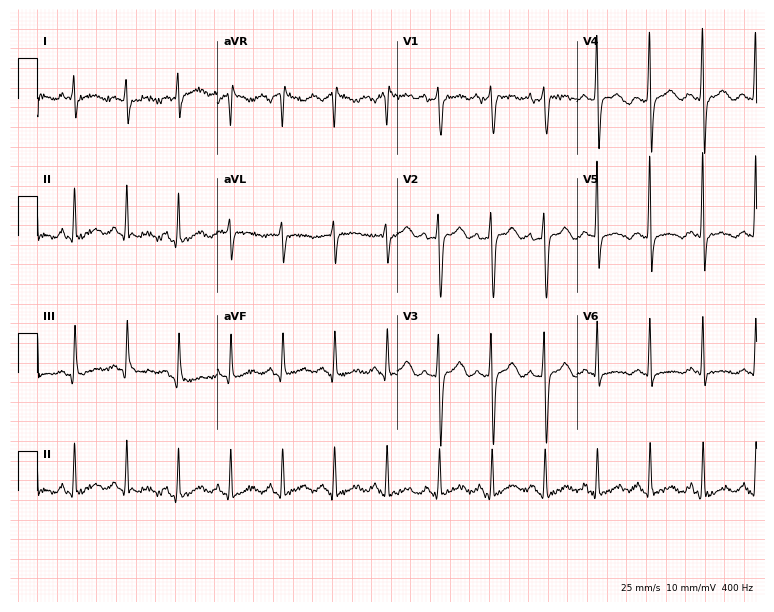
Standard 12-lead ECG recorded from a 58-year-old woman. The tracing shows sinus tachycardia (a sinus rate of 100 beats per minute or more).